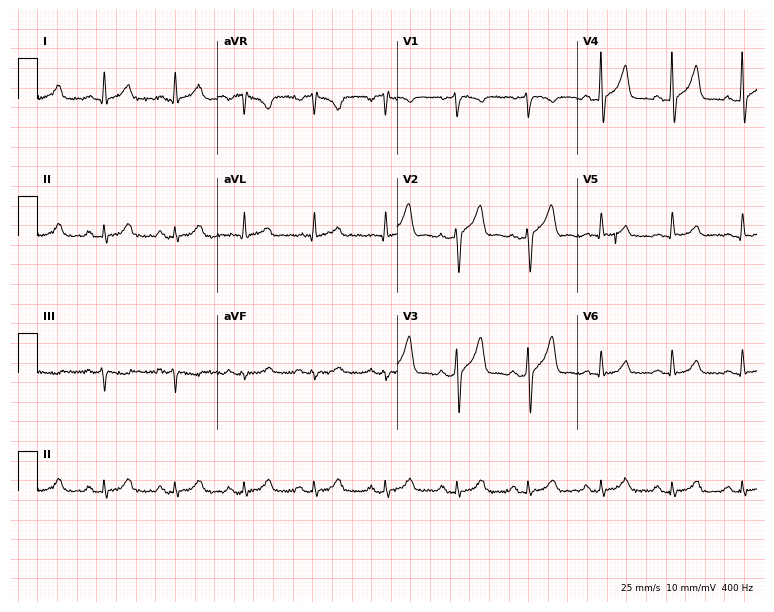
12-lead ECG from a 51-year-old man. Recorded interpretation: within normal limits.